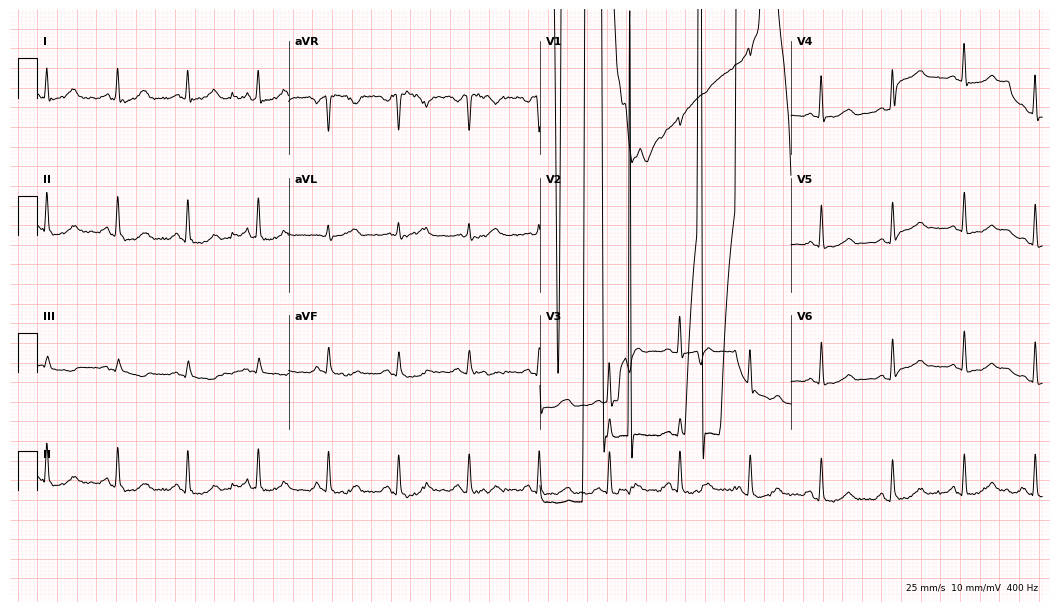
Resting 12-lead electrocardiogram (10.2-second recording at 400 Hz). Patient: a woman, 56 years old. None of these six findings is recorded: first-degree AV block, right bundle branch block (RBBB), left bundle branch block (LBBB), sinus bradycardia, atrial fibrillation (AF), sinus tachycardia. Only these six findings were labelled.